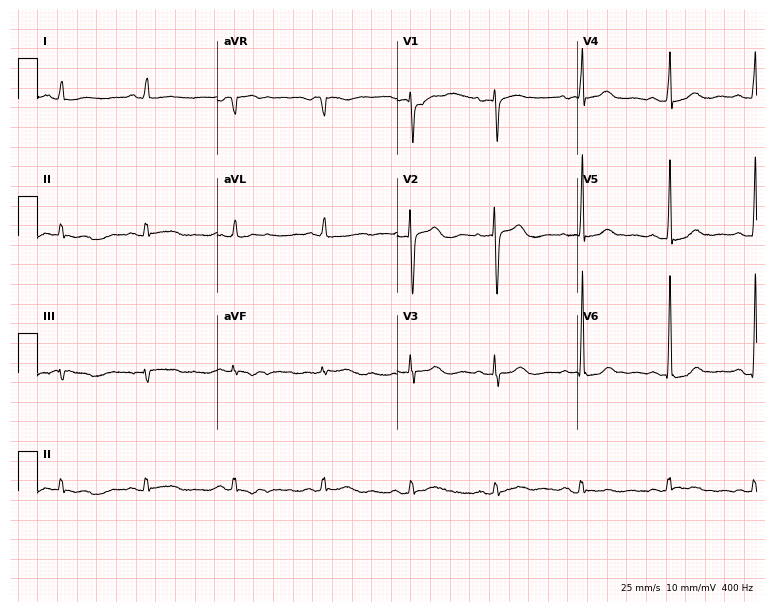
12-lead ECG (7.3-second recording at 400 Hz) from a 63-year-old woman. Screened for six findings — first-degree AV block, right bundle branch block, left bundle branch block, sinus bradycardia, atrial fibrillation, sinus tachycardia — none is recorded.